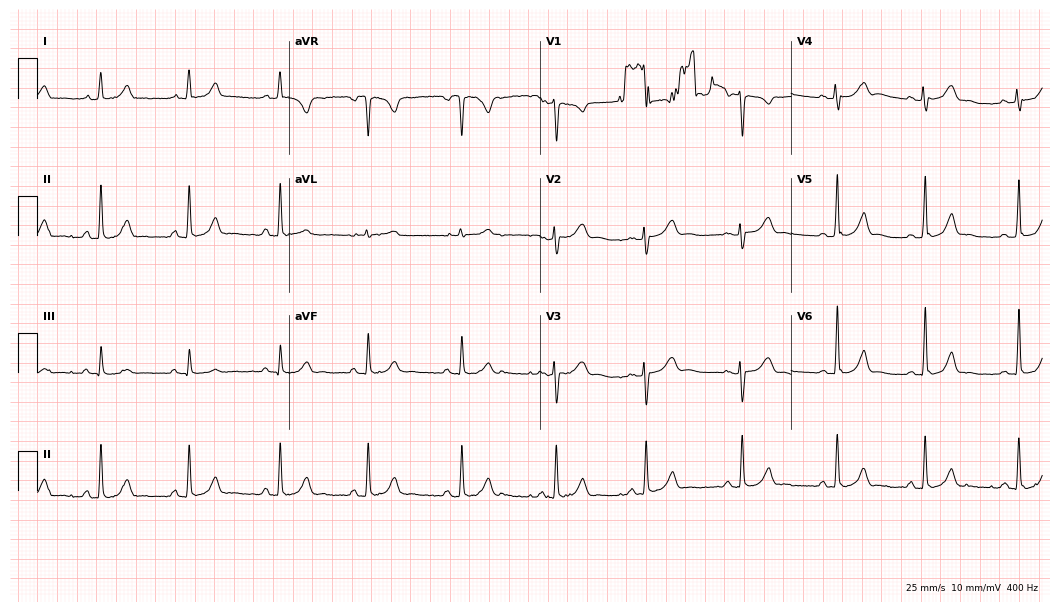
Standard 12-lead ECG recorded from a female, 35 years old. Read as a normal ECG.